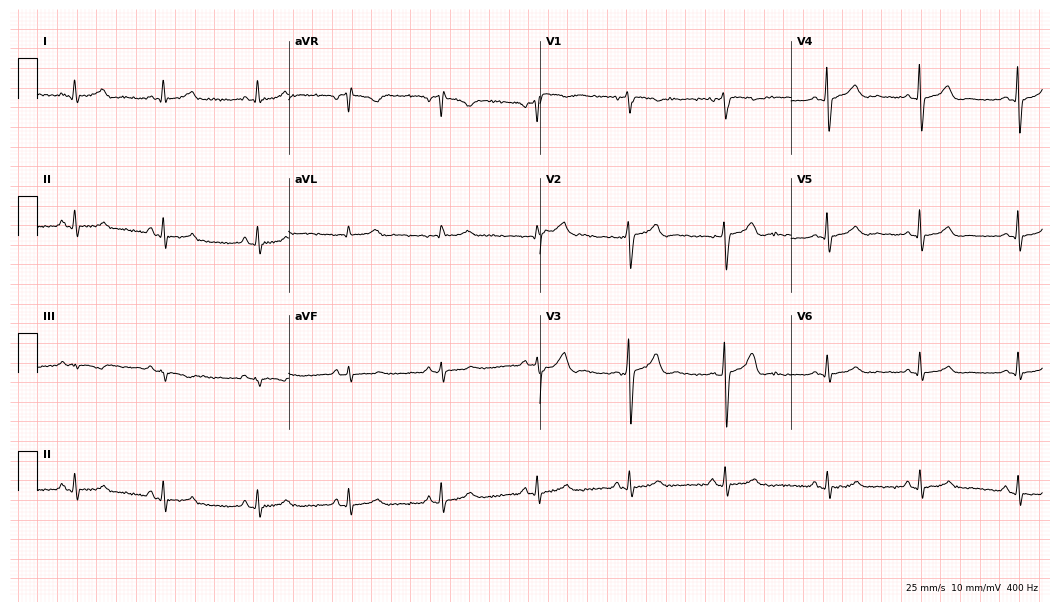
Resting 12-lead electrocardiogram. Patient: a male, 50 years old. Read as a normal ECG.